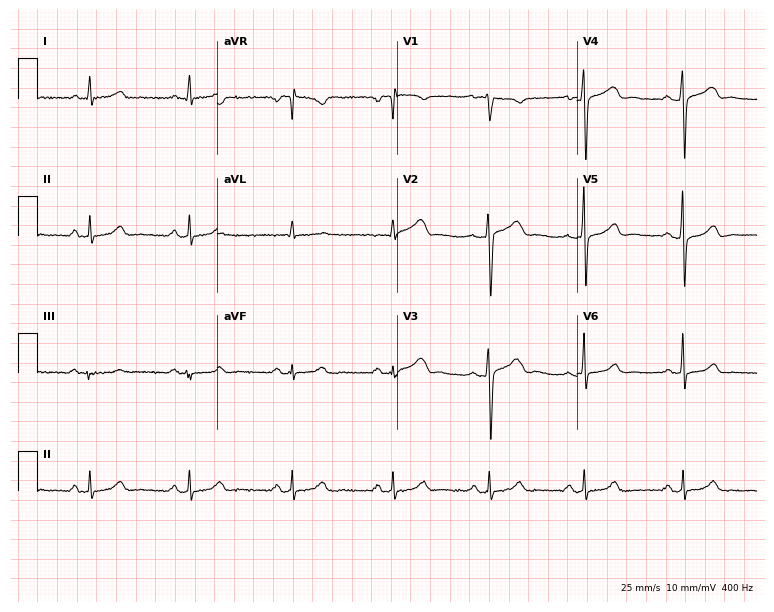
Standard 12-lead ECG recorded from a female, 52 years old. Read as a normal ECG.